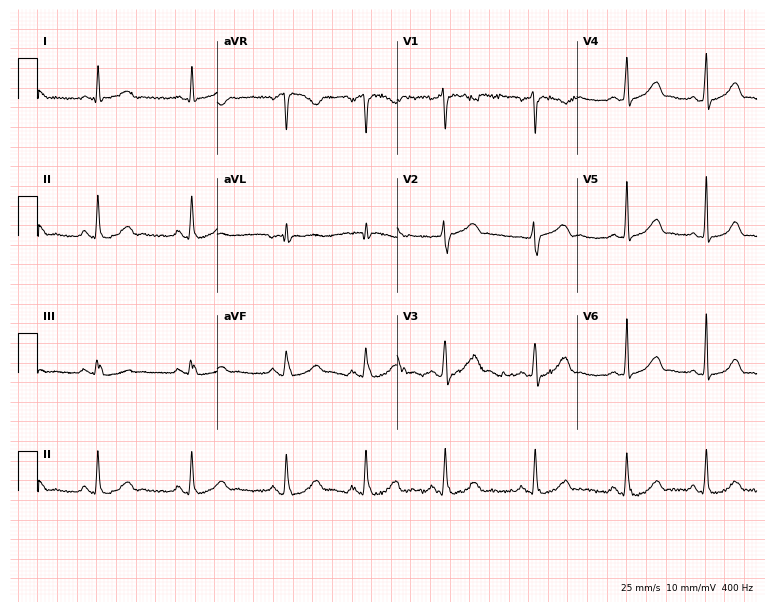
12-lead ECG from a 29-year-old female patient. Recorded interpretation: within normal limits.